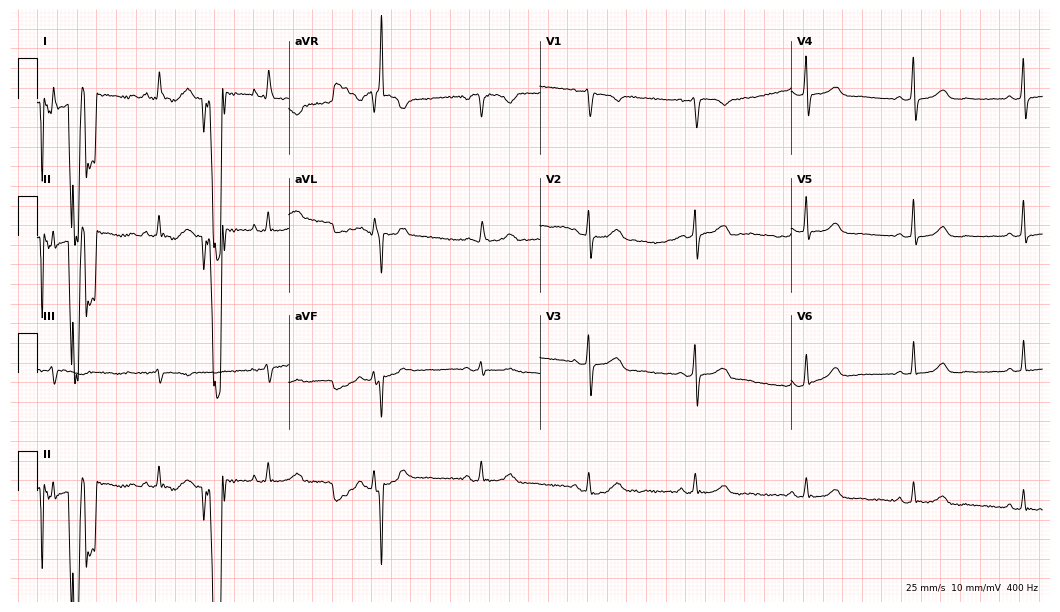
Electrocardiogram, a woman, 49 years old. Of the six screened findings (first-degree AV block, right bundle branch block, left bundle branch block, sinus bradycardia, atrial fibrillation, sinus tachycardia), none is recorded. Findings outside these six are not listed.